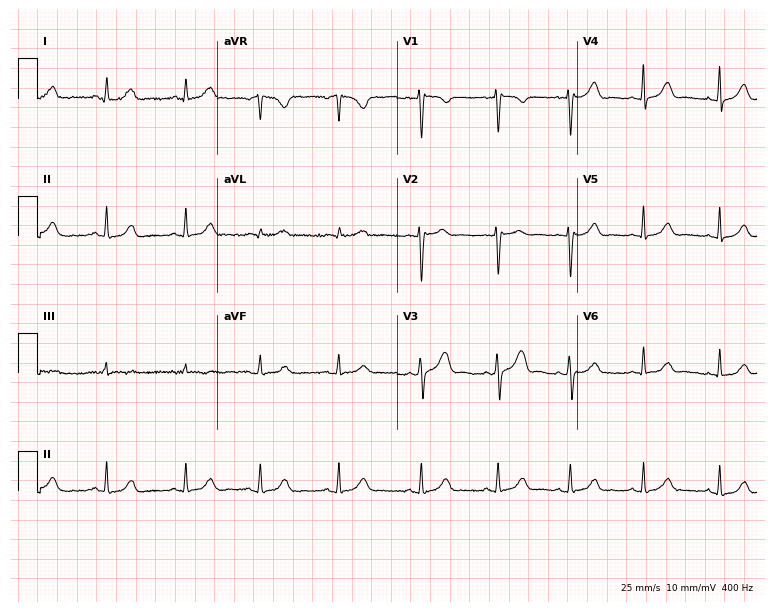
Standard 12-lead ECG recorded from a 27-year-old female patient. Read as a normal ECG.